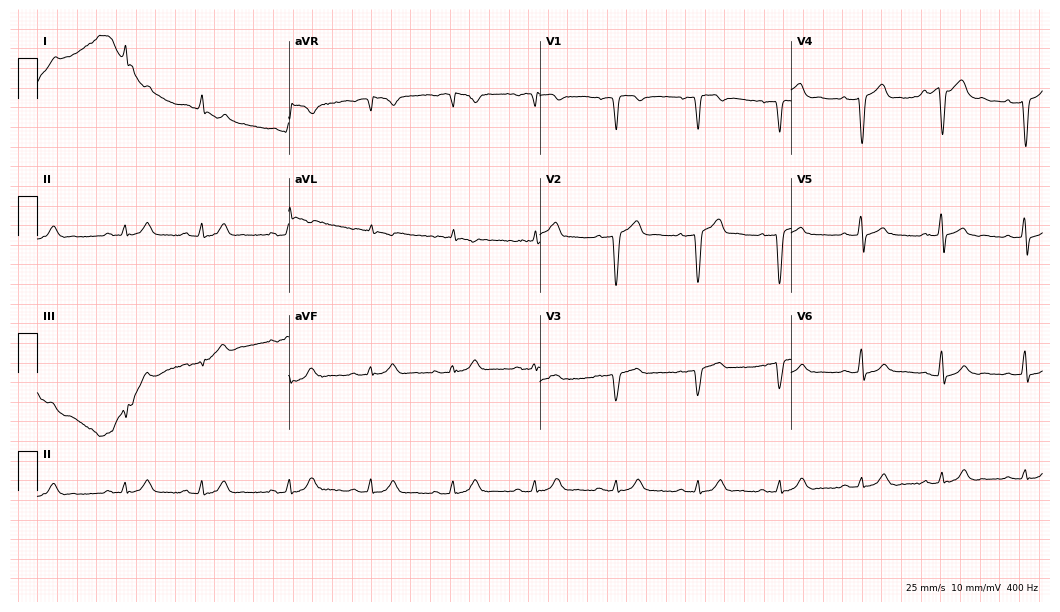
12-lead ECG from an 84-year-old male. No first-degree AV block, right bundle branch block, left bundle branch block, sinus bradycardia, atrial fibrillation or sinus tachycardia recorded for this tracing. Other findings, if any, are not listed.